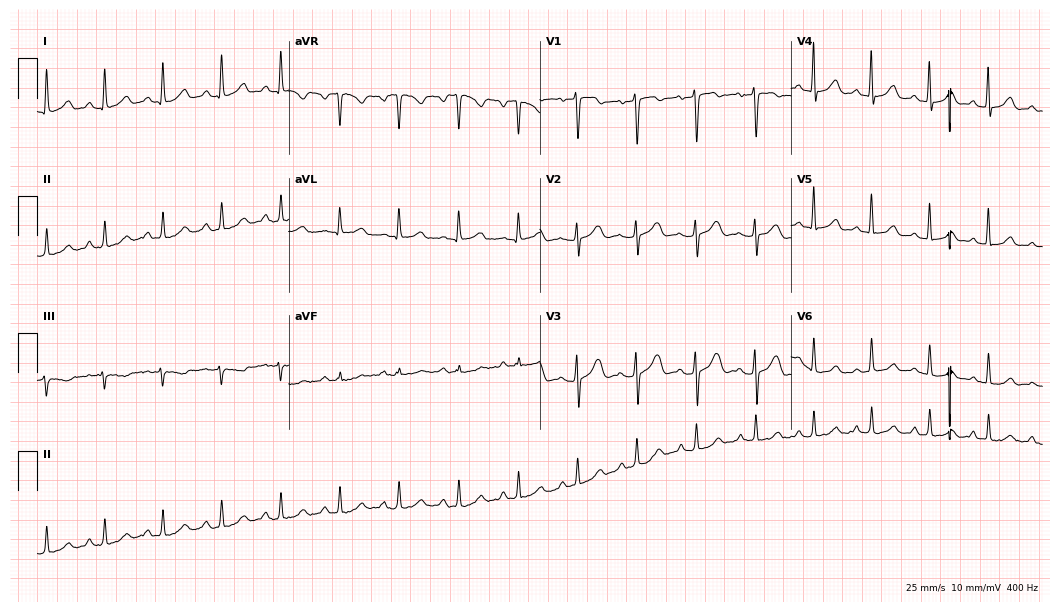
Resting 12-lead electrocardiogram (10.2-second recording at 400 Hz). Patient: a female, 32 years old. The tracing shows sinus tachycardia (a sinus rate of 100 beats per minute or more).